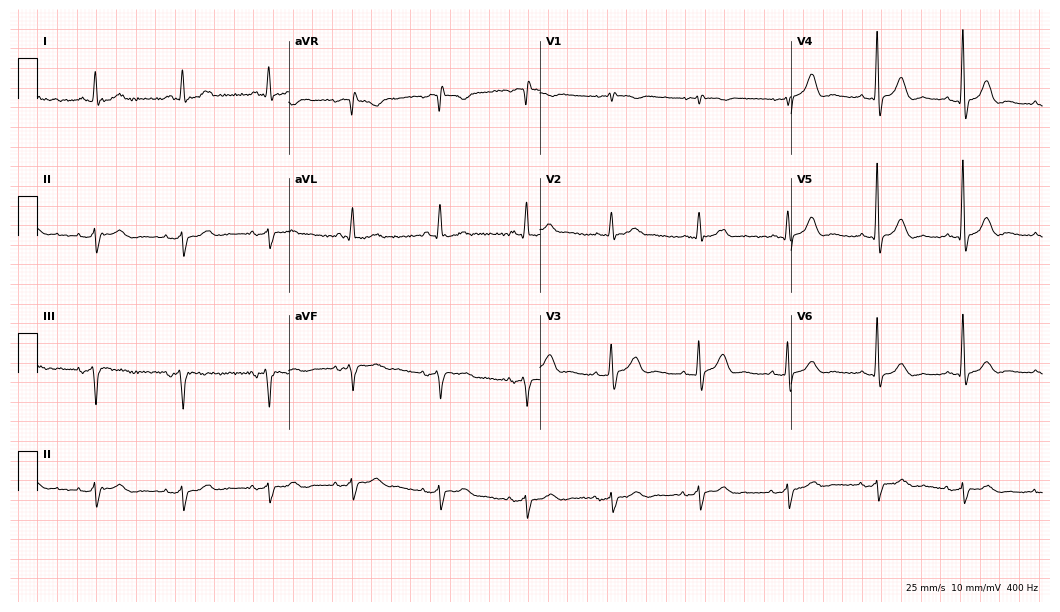
Electrocardiogram, a 76-year-old female. Of the six screened findings (first-degree AV block, right bundle branch block, left bundle branch block, sinus bradycardia, atrial fibrillation, sinus tachycardia), none is recorded. Other findings, if any, are not listed.